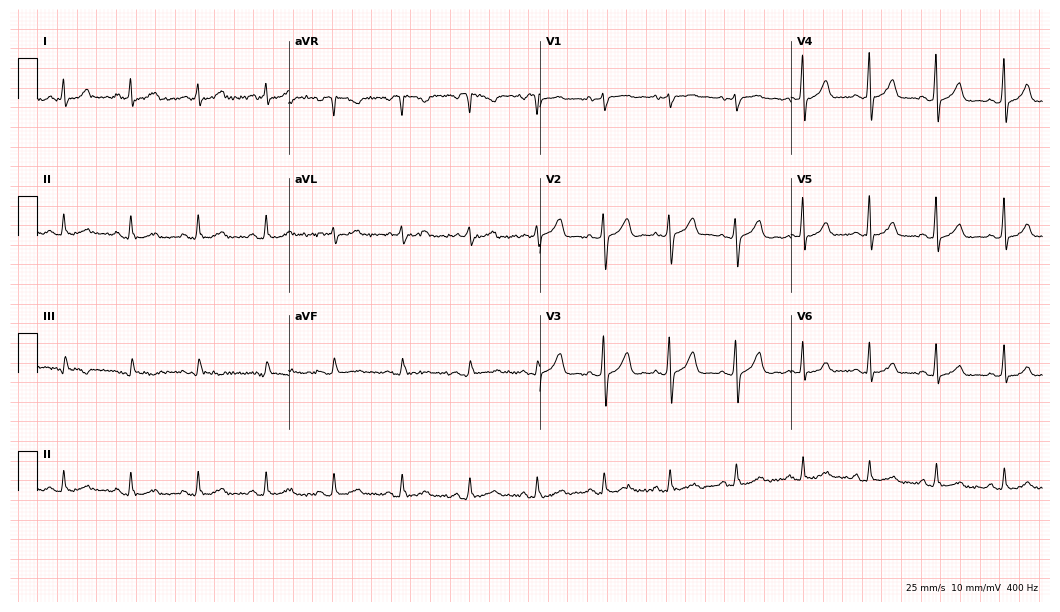
Resting 12-lead electrocardiogram (10.2-second recording at 400 Hz). Patient: a 54-year-old woman. Read as a normal ECG.